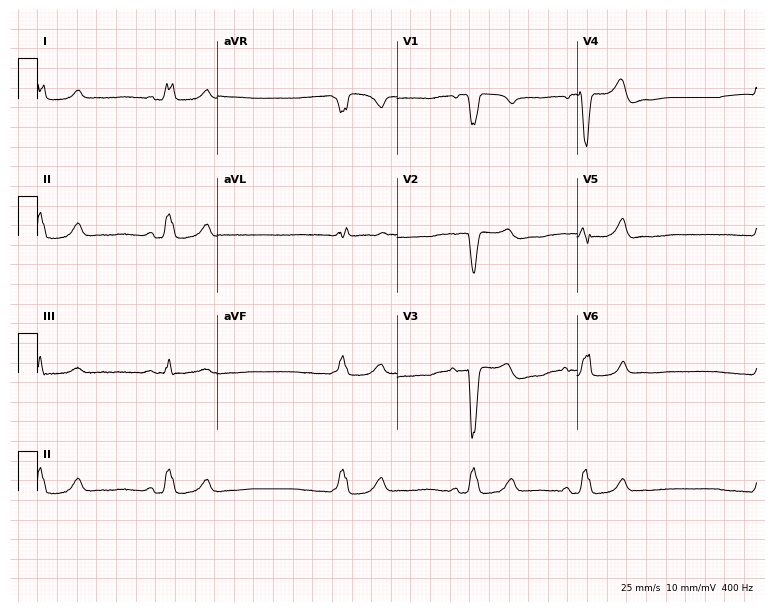
12-lead ECG from a 62-year-old female (7.3-second recording at 400 Hz). Shows left bundle branch block.